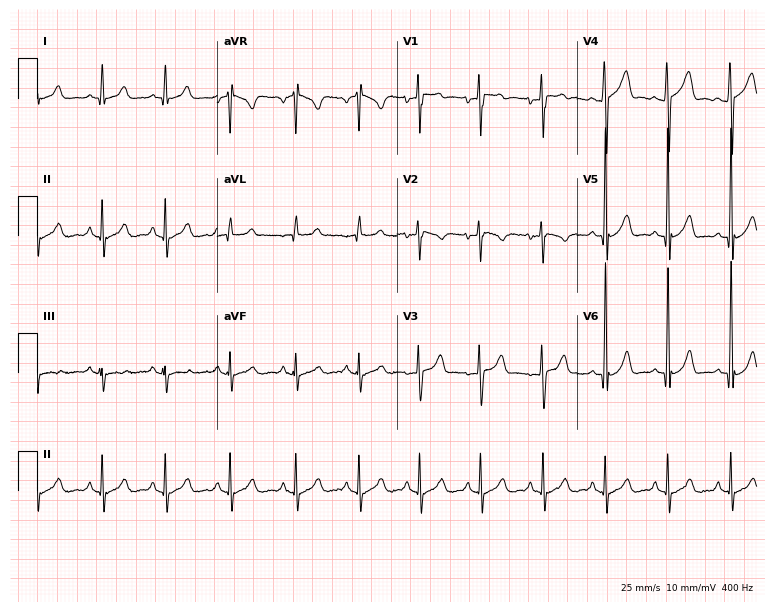
Standard 12-lead ECG recorded from a 23-year-old male. Read as a normal ECG.